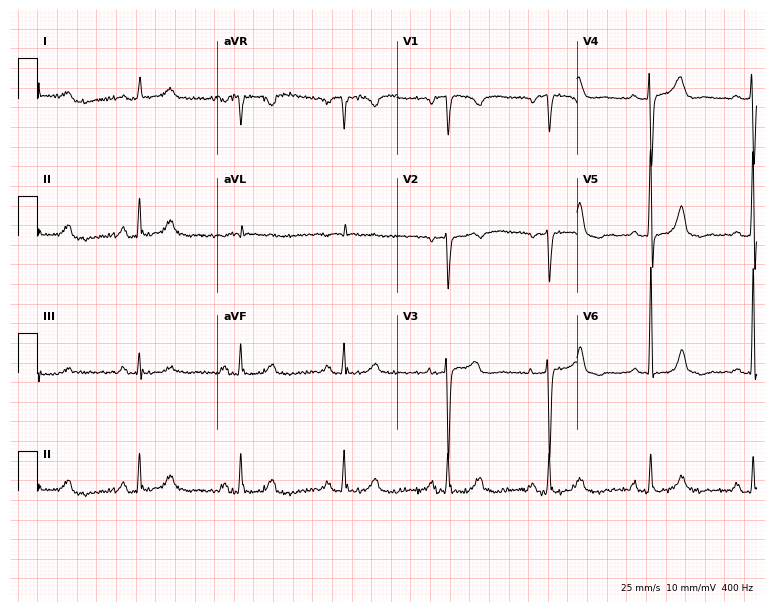
Resting 12-lead electrocardiogram. Patient: a woman, 81 years old. Read as a normal ECG.